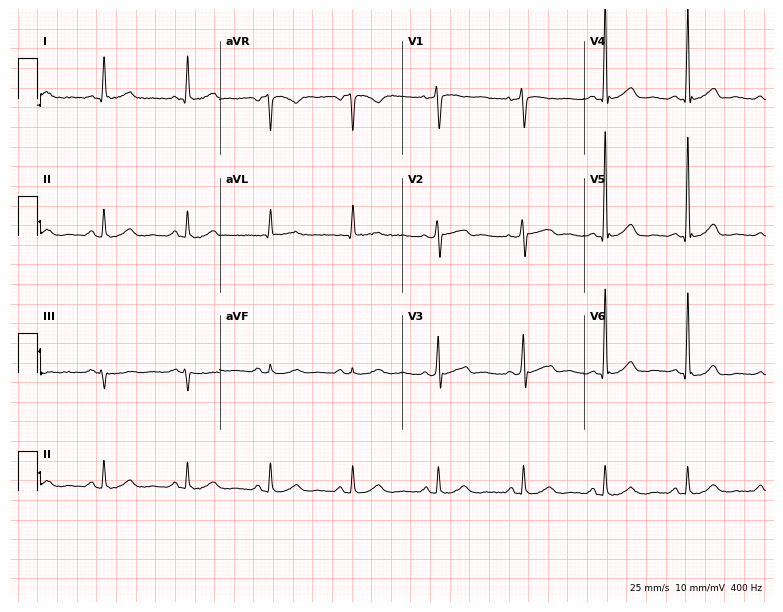
Standard 12-lead ECG recorded from a man, 70 years old. Read as a normal ECG.